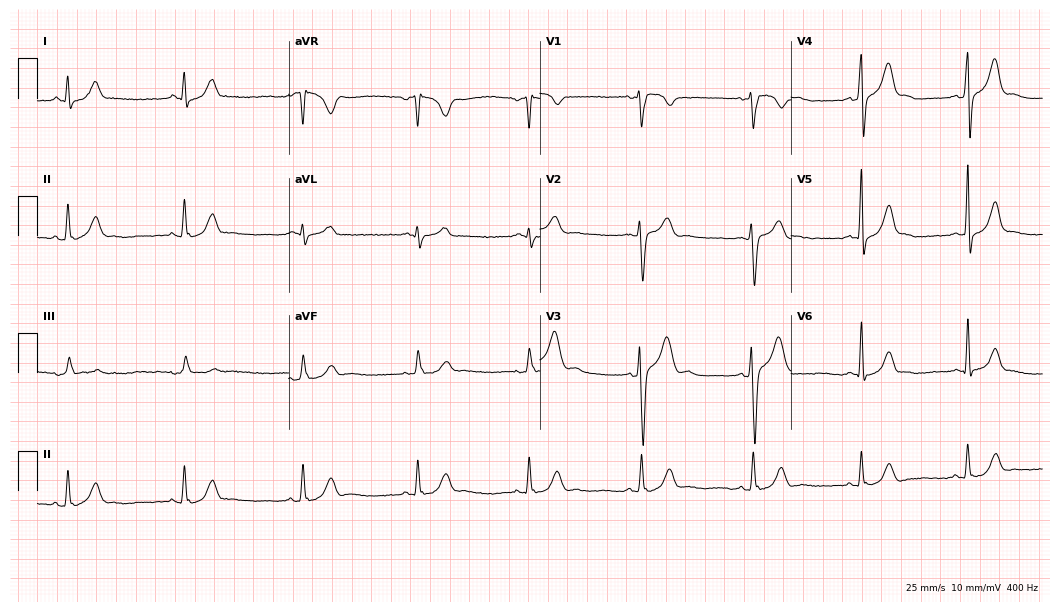
Standard 12-lead ECG recorded from a male patient, 29 years old (10.2-second recording at 400 Hz). None of these six findings is recorded: first-degree AV block, right bundle branch block, left bundle branch block, sinus bradycardia, atrial fibrillation, sinus tachycardia.